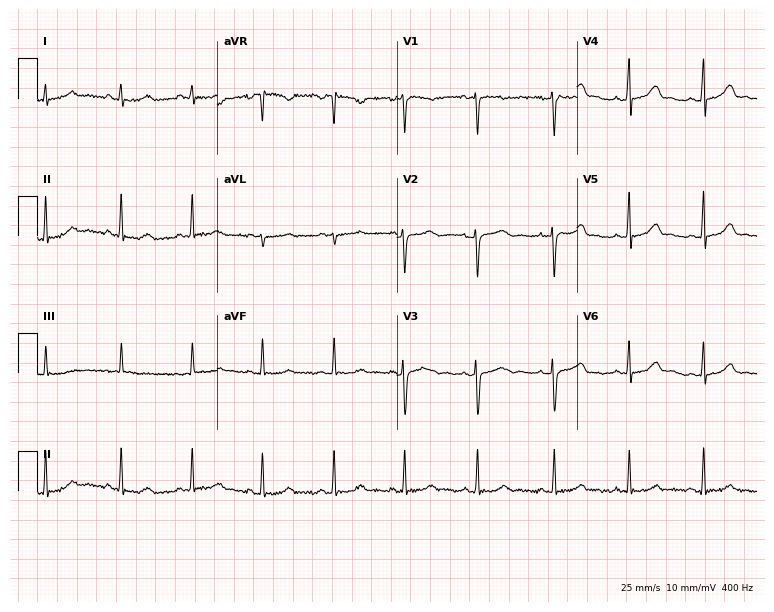
Electrocardiogram, a woman, 25 years old. Overall reading on record: normal ECG.